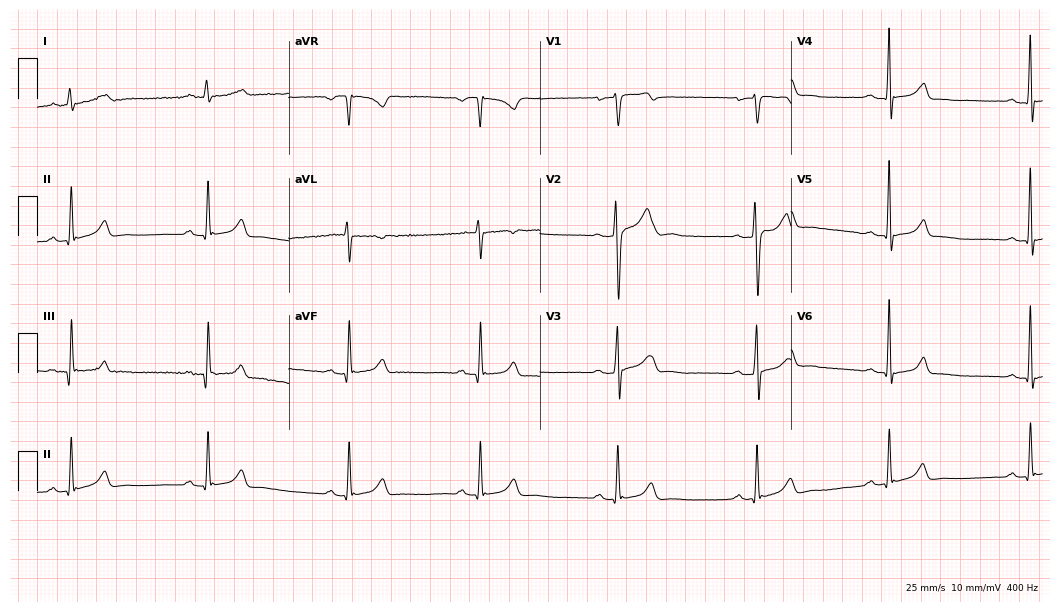
12-lead ECG from a 26-year-old male. Shows sinus bradycardia (a sinus rate of 50 beats per minute or less).